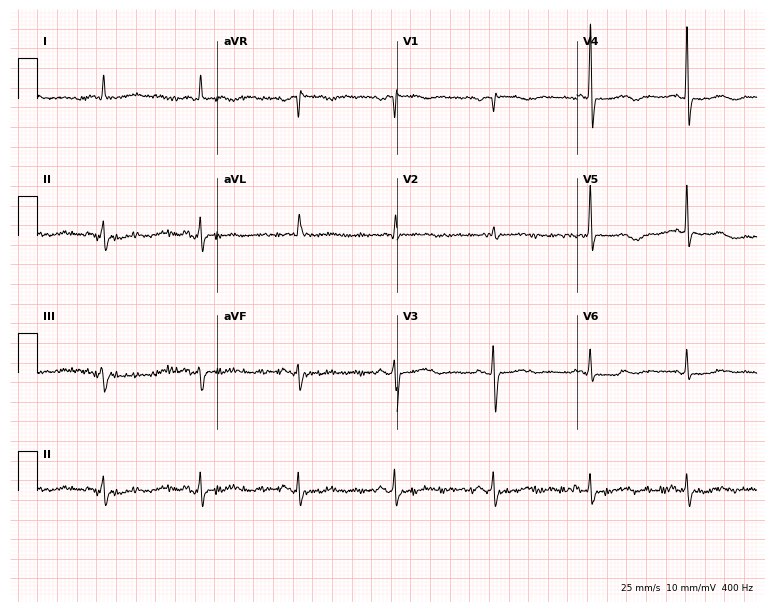
12-lead ECG from a female patient, 81 years old (7.3-second recording at 400 Hz). No first-degree AV block, right bundle branch block (RBBB), left bundle branch block (LBBB), sinus bradycardia, atrial fibrillation (AF) or sinus tachycardia recorded for this tracing. Findings outside these six are not listed.